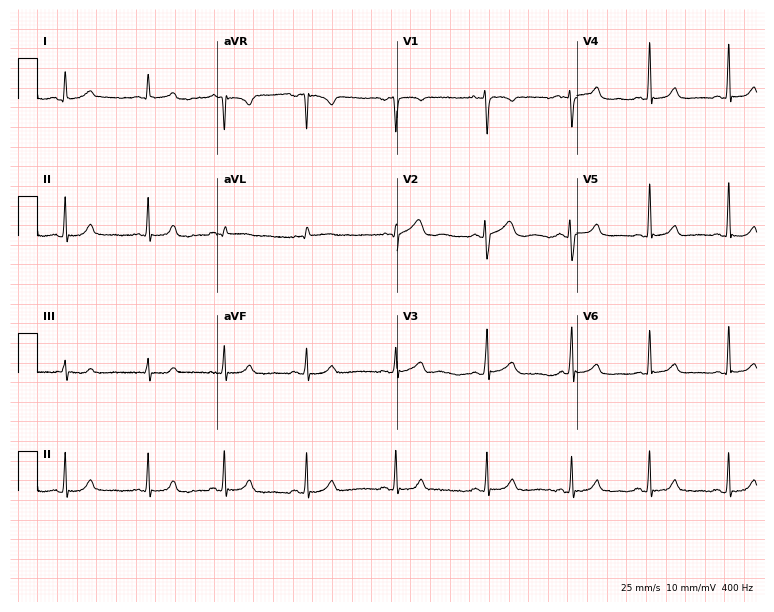
ECG (7.3-second recording at 400 Hz) — a 28-year-old female patient. Labelled as a normal ECG.